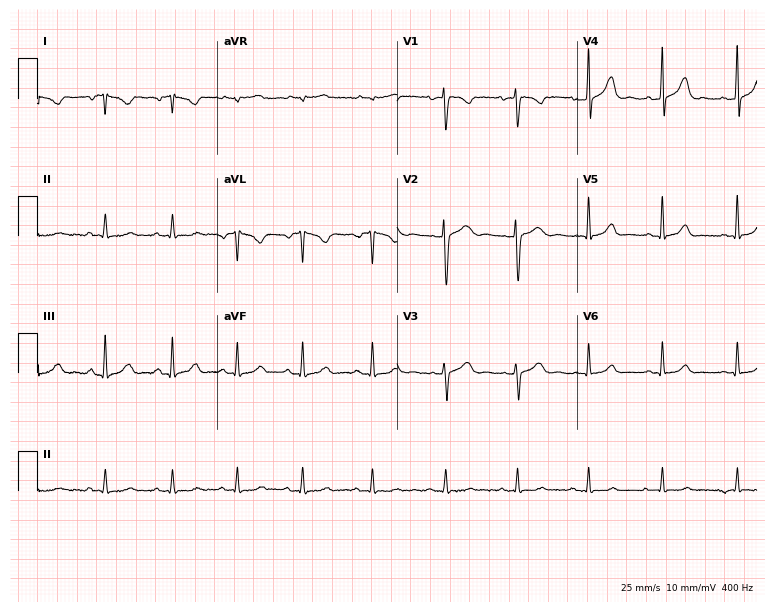
Standard 12-lead ECG recorded from a 23-year-old woman. None of these six findings is recorded: first-degree AV block, right bundle branch block (RBBB), left bundle branch block (LBBB), sinus bradycardia, atrial fibrillation (AF), sinus tachycardia. Findings outside these six are not listed.